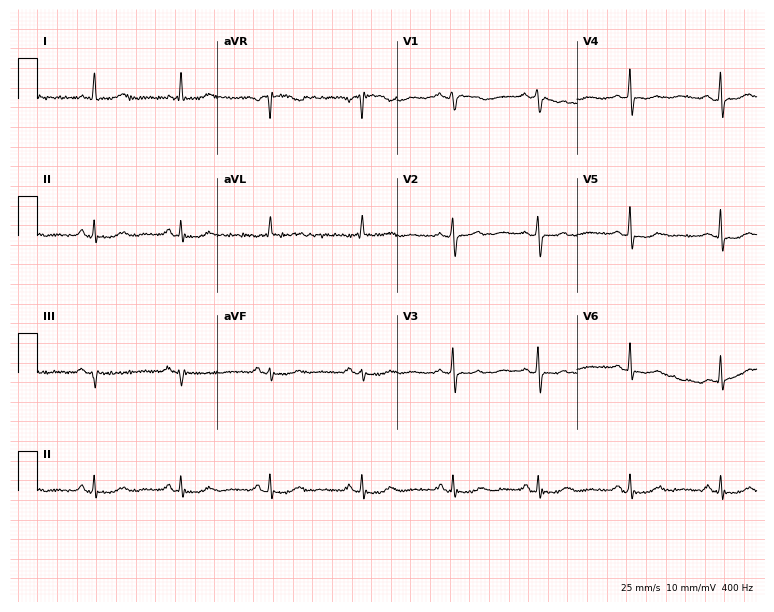
Electrocardiogram, a 55-year-old female patient. Of the six screened findings (first-degree AV block, right bundle branch block, left bundle branch block, sinus bradycardia, atrial fibrillation, sinus tachycardia), none is recorded.